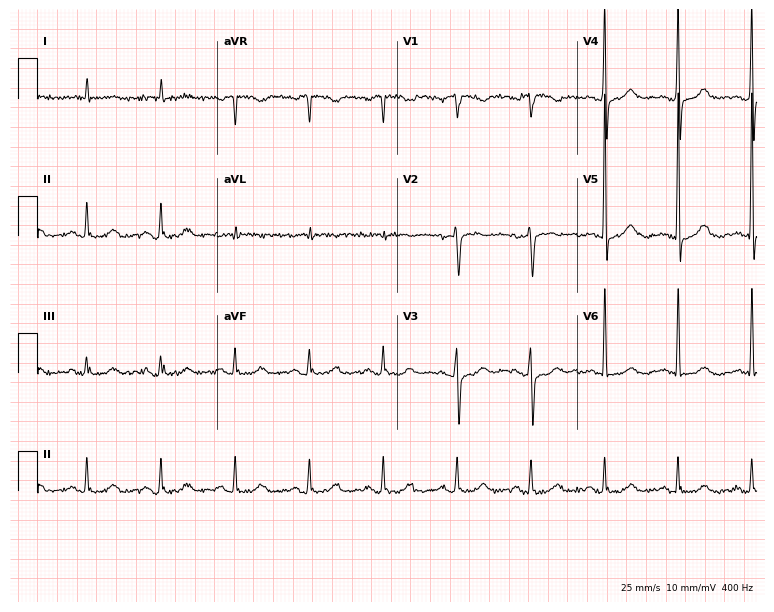
ECG (7.3-second recording at 400 Hz) — a 77-year-old female. Screened for six findings — first-degree AV block, right bundle branch block (RBBB), left bundle branch block (LBBB), sinus bradycardia, atrial fibrillation (AF), sinus tachycardia — none is recorded.